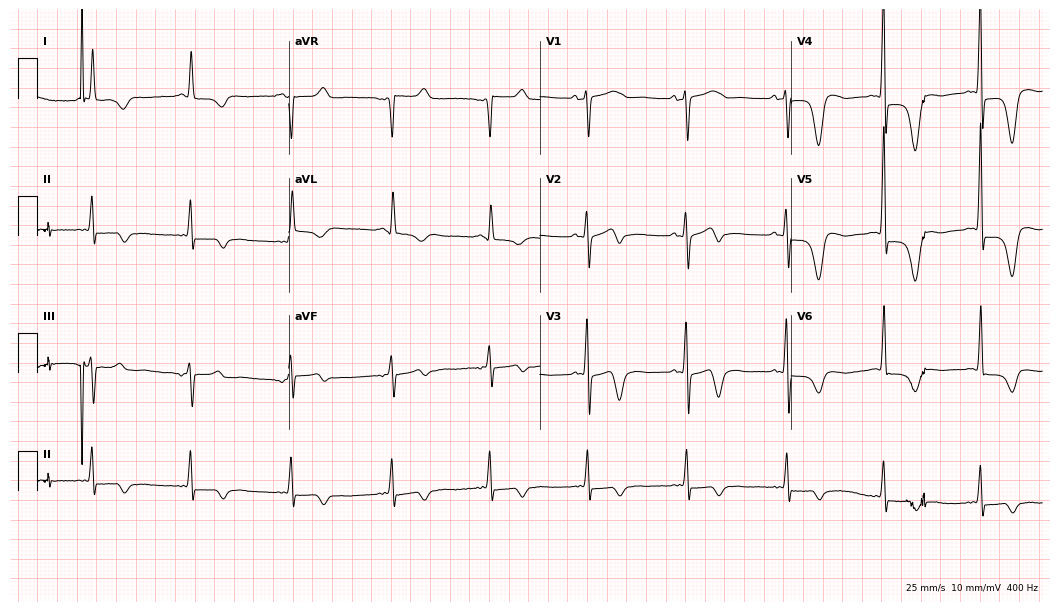
12-lead ECG from a female, 73 years old. Screened for six findings — first-degree AV block, right bundle branch block, left bundle branch block, sinus bradycardia, atrial fibrillation, sinus tachycardia — none is recorded.